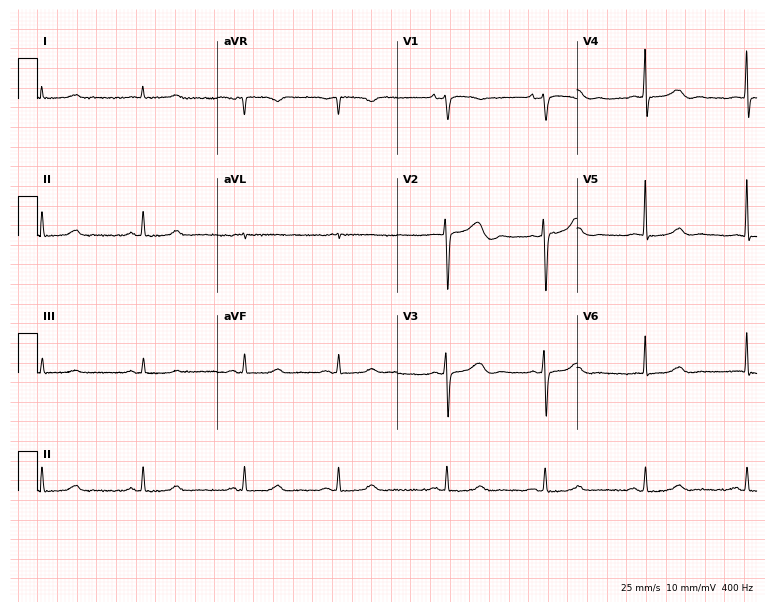
12-lead ECG (7.3-second recording at 400 Hz) from a female, 82 years old. Screened for six findings — first-degree AV block, right bundle branch block, left bundle branch block, sinus bradycardia, atrial fibrillation, sinus tachycardia — none is recorded.